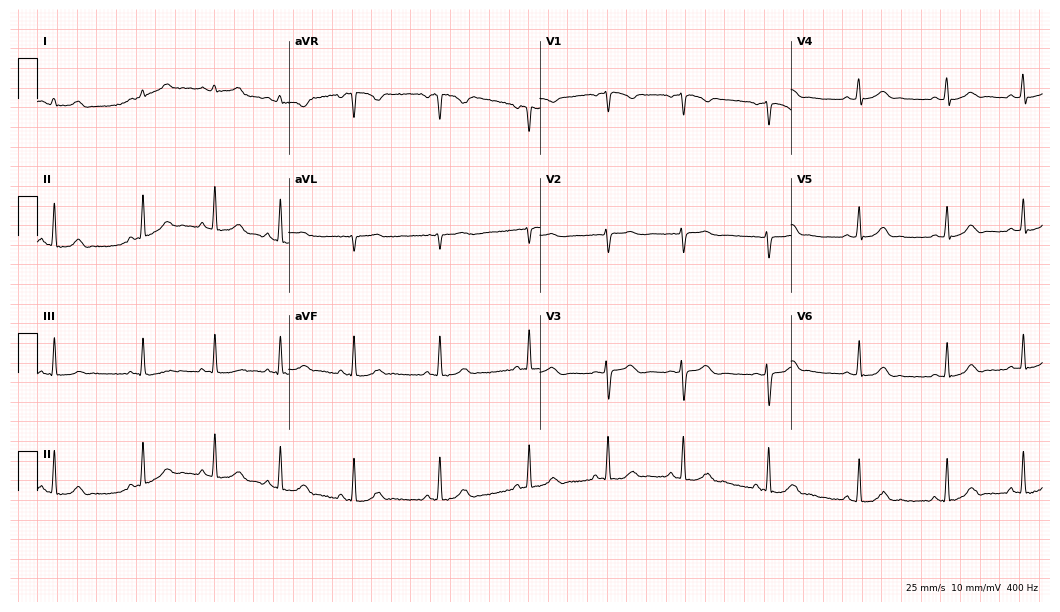
Resting 12-lead electrocardiogram. Patient: a 23-year-old female. None of these six findings is recorded: first-degree AV block, right bundle branch block, left bundle branch block, sinus bradycardia, atrial fibrillation, sinus tachycardia.